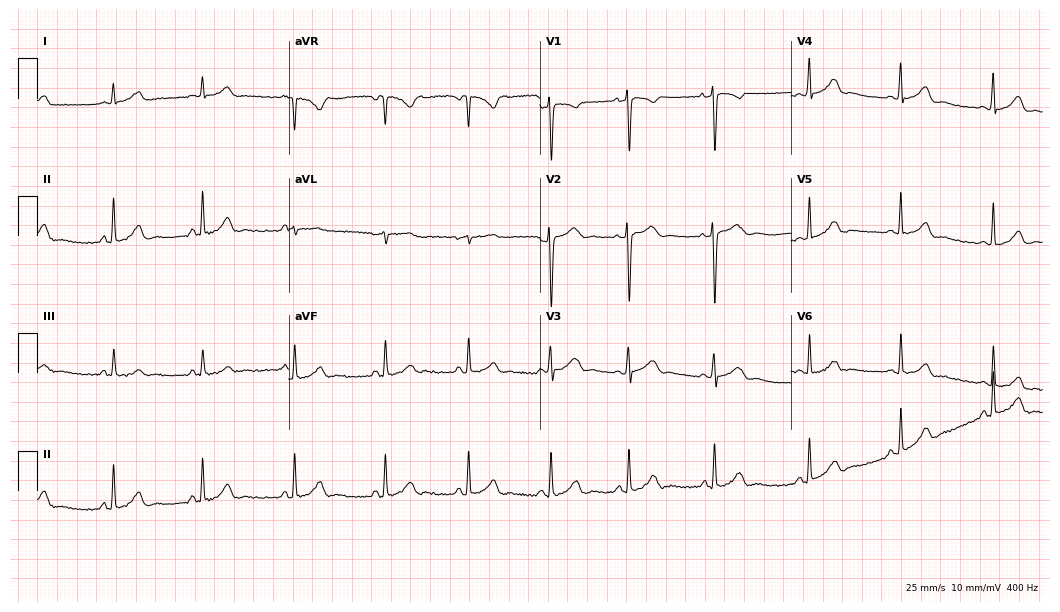
Standard 12-lead ECG recorded from a female patient, 19 years old (10.2-second recording at 400 Hz). Read as a normal ECG.